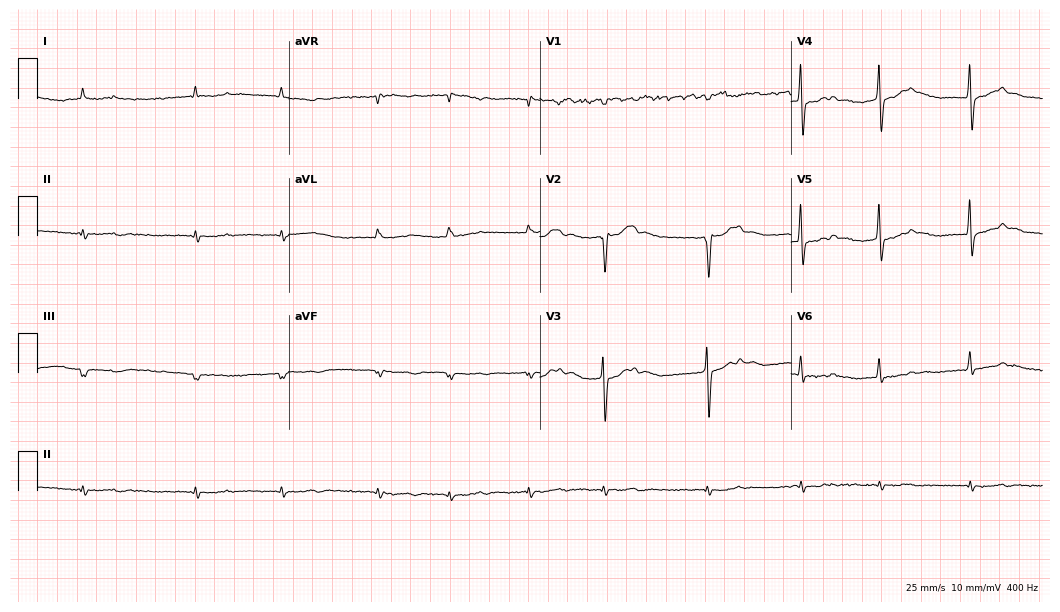
ECG — a male, 84 years old. Screened for six findings — first-degree AV block, right bundle branch block (RBBB), left bundle branch block (LBBB), sinus bradycardia, atrial fibrillation (AF), sinus tachycardia — none is recorded. Other findings, if any, are not listed.